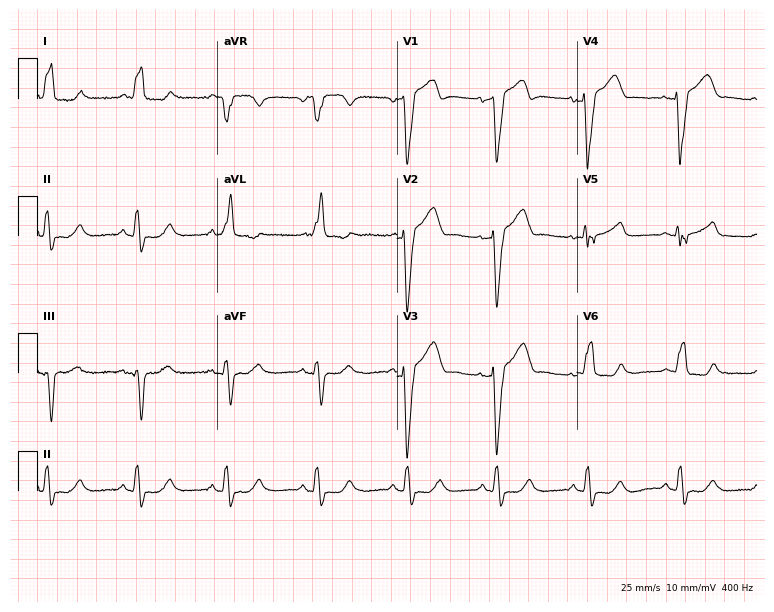
12-lead ECG from a 70-year-old female. Findings include left bundle branch block (LBBB).